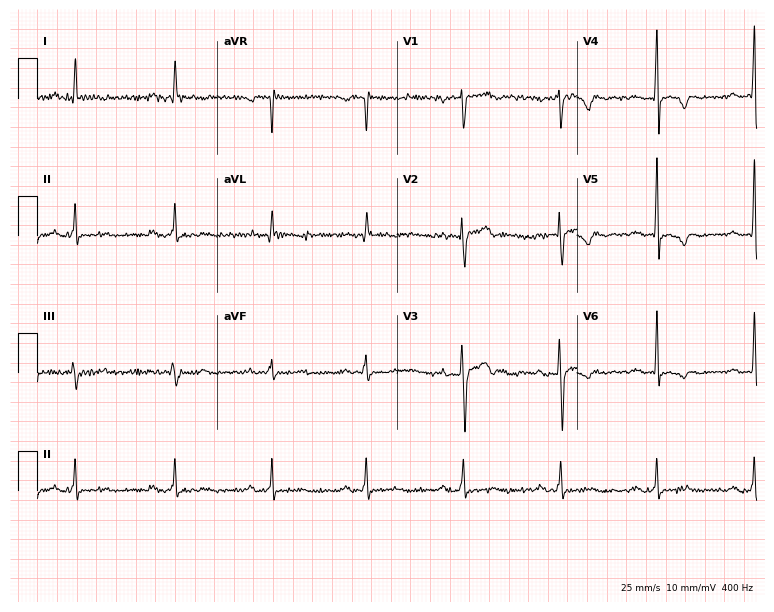
Standard 12-lead ECG recorded from a man, 42 years old. None of these six findings is recorded: first-degree AV block, right bundle branch block, left bundle branch block, sinus bradycardia, atrial fibrillation, sinus tachycardia.